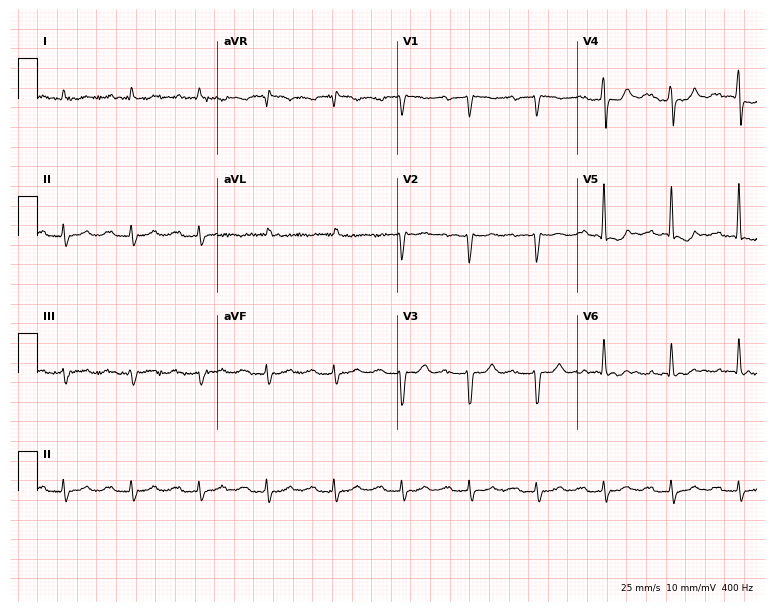
Resting 12-lead electrocardiogram. Patient: a male, 66 years old. The tracing shows first-degree AV block.